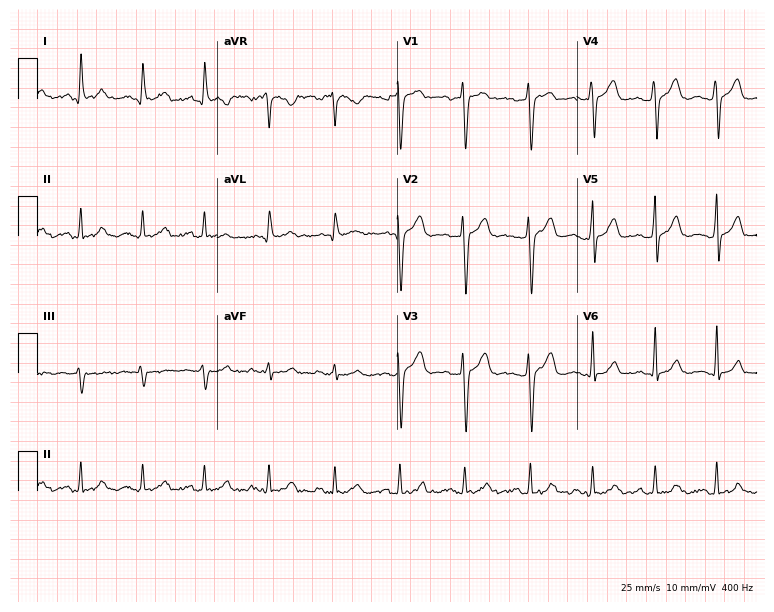
Resting 12-lead electrocardiogram. Patient: a male, 38 years old. None of these six findings is recorded: first-degree AV block, right bundle branch block (RBBB), left bundle branch block (LBBB), sinus bradycardia, atrial fibrillation (AF), sinus tachycardia. Findings outside these six are not listed.